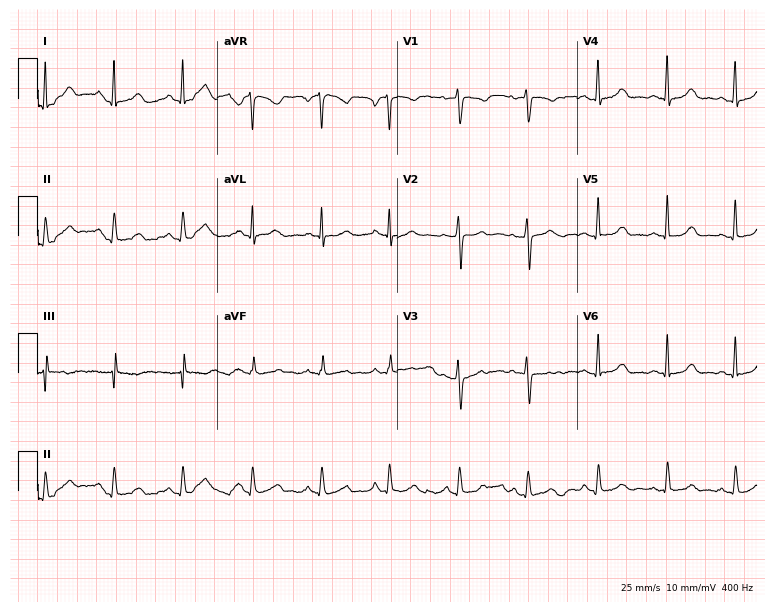
Standard 12-lead ECG recorded from a female, 40 years old. Read as a normal ECG.